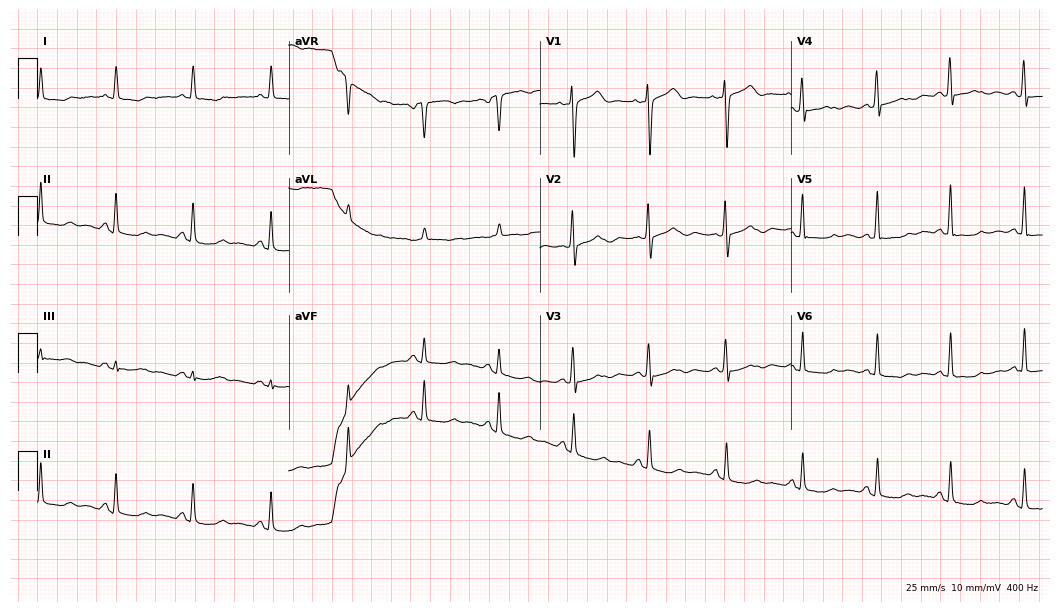
12-lead ECG from a woman, 75 years old. No first-degree AV block, right bundle branch block, left bundle branch block, sinus bradycardia, atrial fibrillation or sinus tachycardia recorded for this tracing.